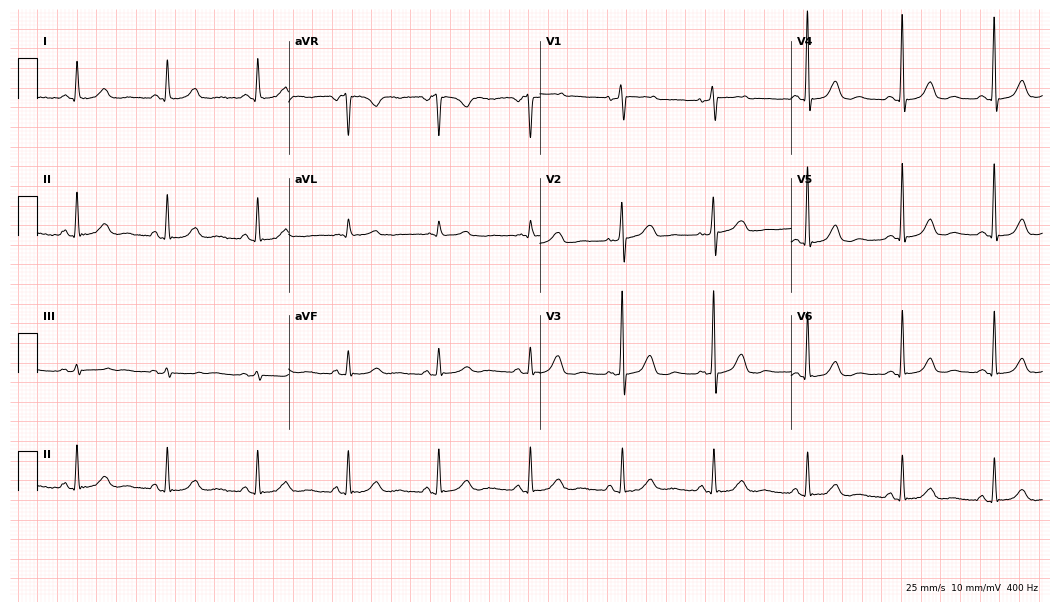
ECG — a woman, 66 years old. Labelled as a normal ECG.